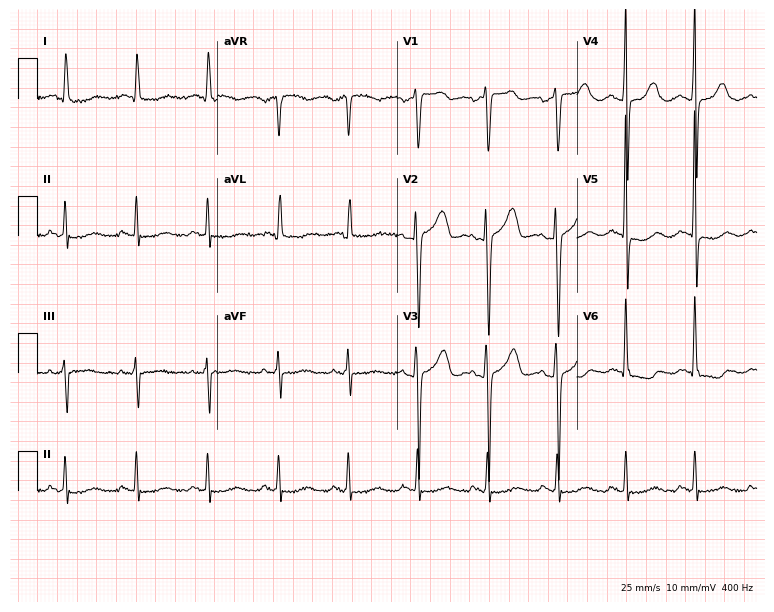
Standard 12-lead ECG recorded from a 54-year-old female (7.3-second recording at 400 Hz). None of these six findings is recorded: first-degree AV block, right bundle branch block, left bundle branch block, sinus bradycardia, atrial fibrillation, sinus tachycardia.